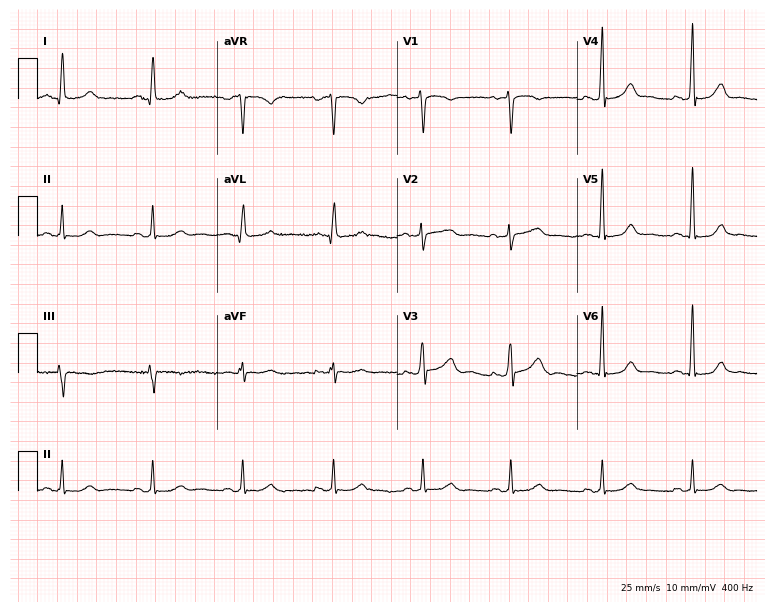
12-lead ECG from a female, 55 years old. Labelled as a normal ECG.